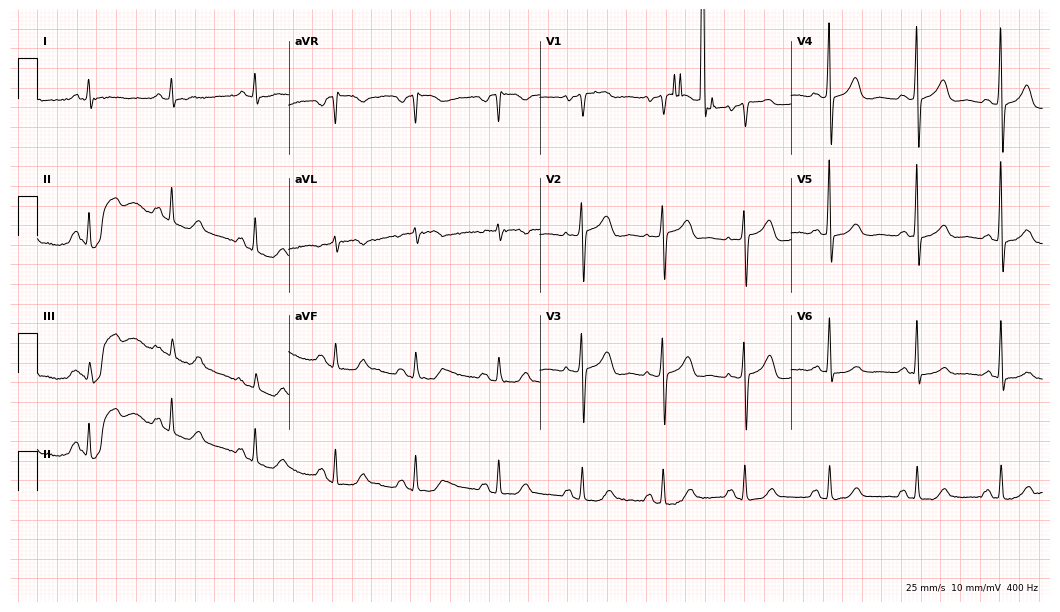
Standard 12-lead ECG recorded from a female, 72 years old. None of these six findings is recorded: first-degree AV block, right bundle branch block, left bundle branch block, sinus bradycardia, atrial fibrillation, sinus tachycardia. Only these six findings were labelled.